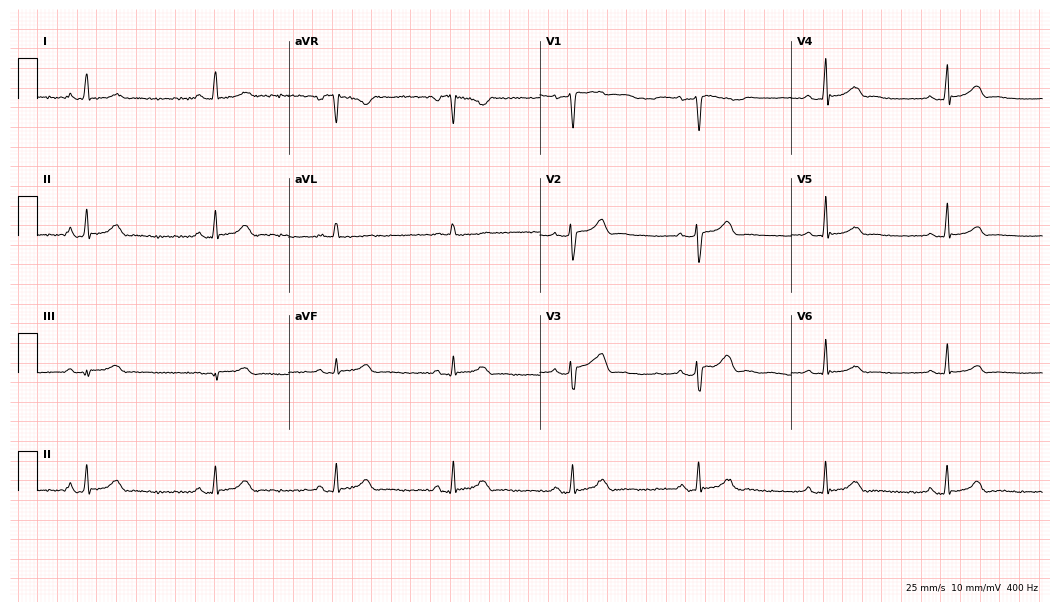
12-lead ECG from a female, 50 years old. Screened for six findings — first-degree AV block, right bundle branch block, left bundle branch block, sinus bradycardia, atrial fibrillation, sinus tachycardia — none is recorded. Only these six findings were labelled.